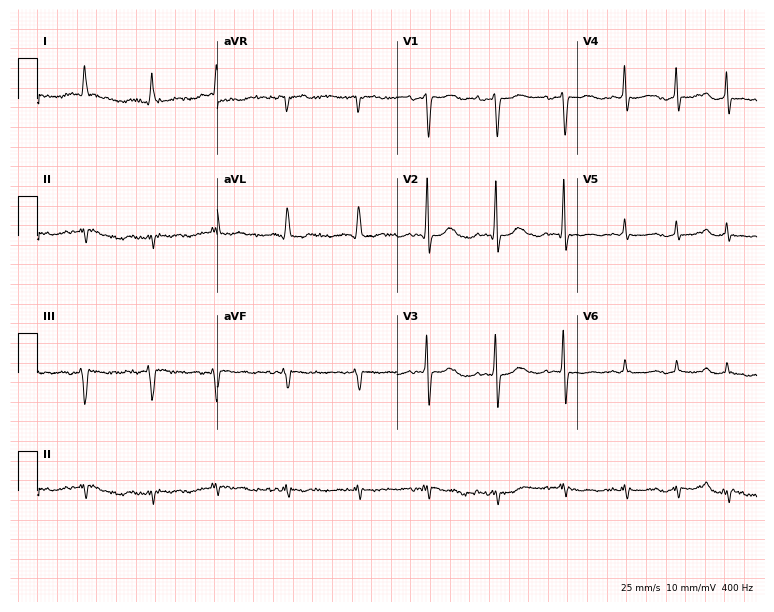
12-lead ECG from a woman, 85 years old. No first-degree AV block, right bundle branch block, left bundle branch block, sinus bradycardia, atrial fibrillation or sinus tachycardia recorded for this tracing. Findings outside these six are not listed.